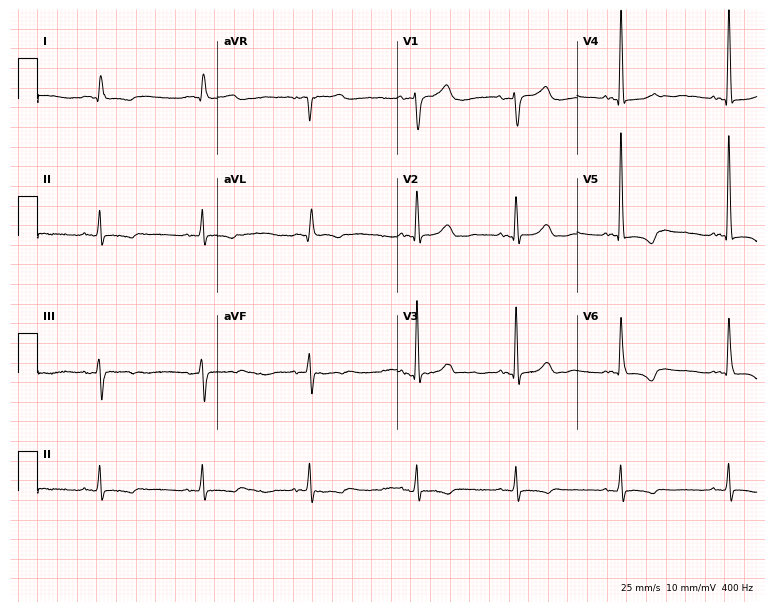
12-lead ECG from a woman, 79 years old. No first-degree AV block, right bundle branch block, left bundle branch block, sinus bradycardia, atrial fibrillation or sinus tachycardia recorded for this tracing. Other findings, if any, are not listed.